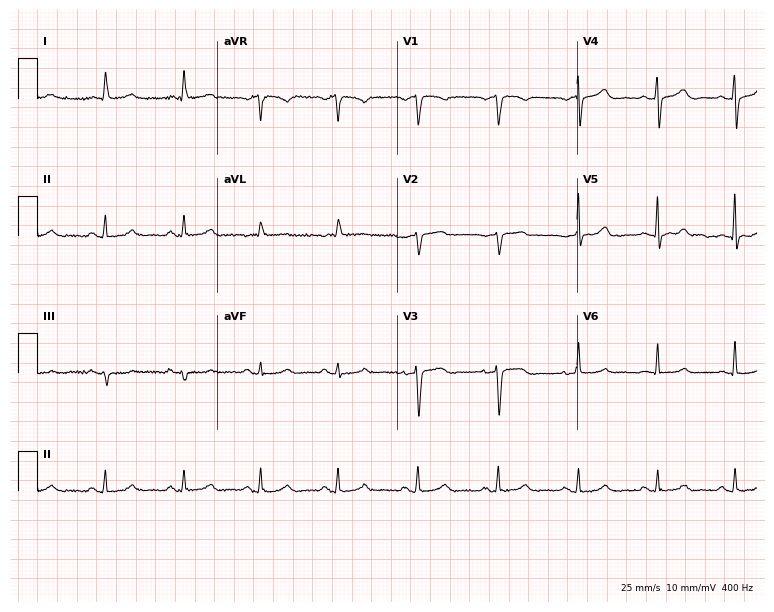
12-lead ECG from a female patient, 85 years old. Labelled as a normal ECG.